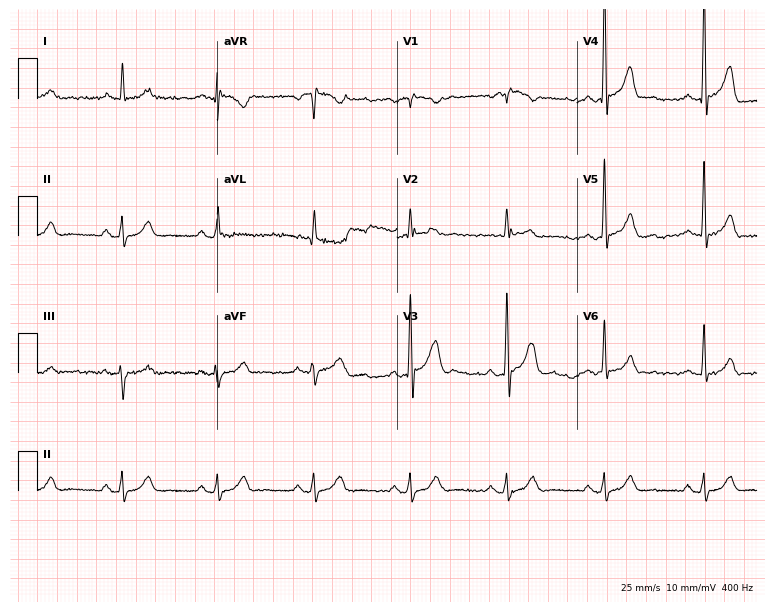
Electrocardiogram, a 70-year-old male patient. Overall reading on record: normal ECG.